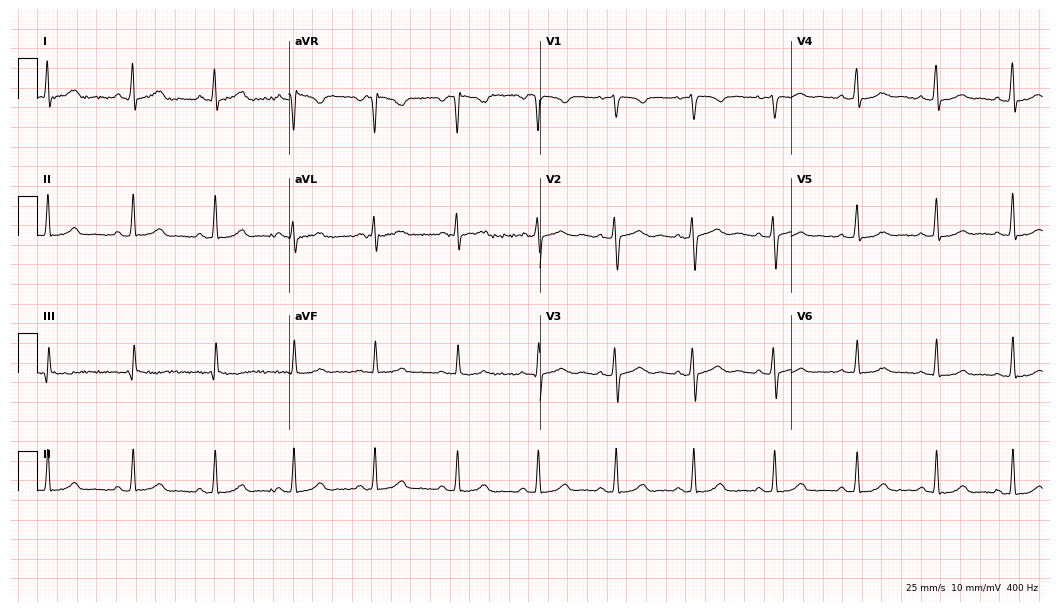
Resting 12-lead electrocardiogram (10.2-second recording at 400 Hz). Patient: a 26-year-old female. None of these six findings is recorded: first-degree AV block, right bundle branch block, left bundle branch block, sinus bradycardia, atrial fibrillation, sinus tachycardia. Other findings, if any, are not listed.